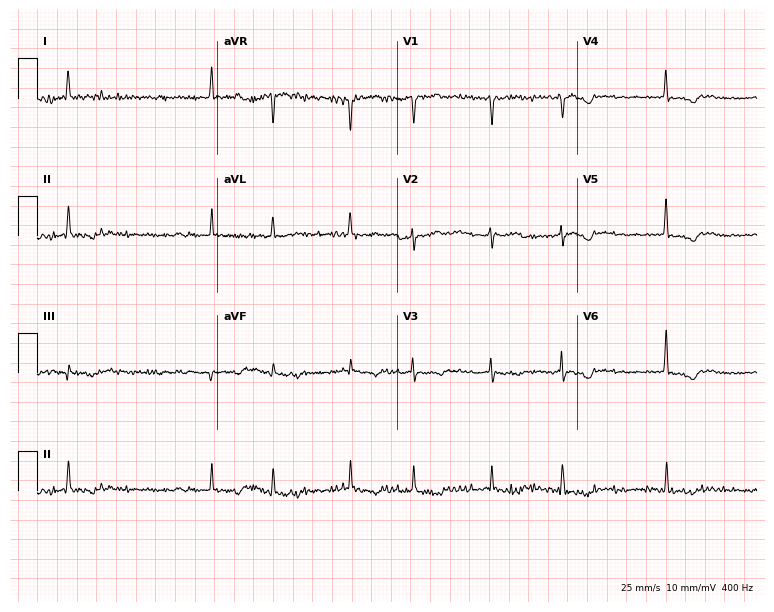
ECG (7.3-second recording at 400 Hz) — a woman, 71 years old. Findings include atrial fibrillation.